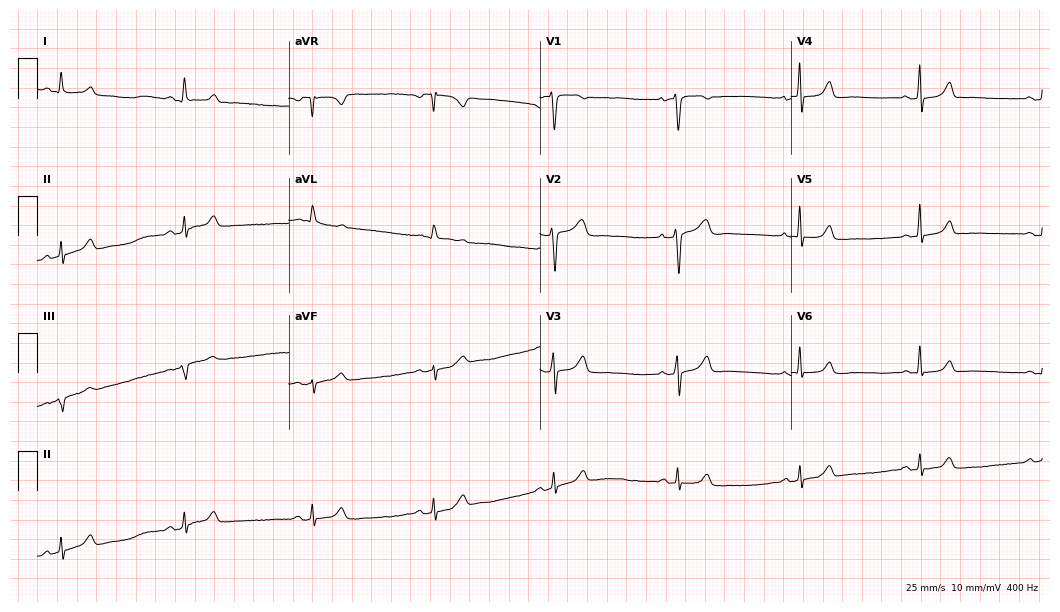
12-lead ECG (10.2-second recording at 400 Hz) from a 46-year-old female patient. Findings include sinus bradycardia (a sinus rate of 50 beats per minute or less).